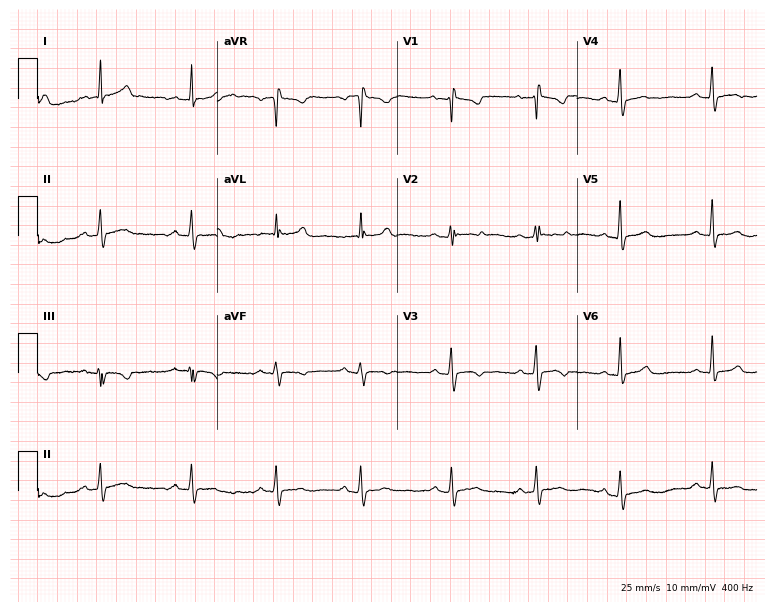
Standard 12-lead ECG recorded from a female patient, 26 years old. None of these six findings is recorded: first-degree AV block, right bundle branch block (RBBB), left bundle branch block (LBBB), sinus bradycardia, atrial fibrillation (AF), sinus tachycardia.